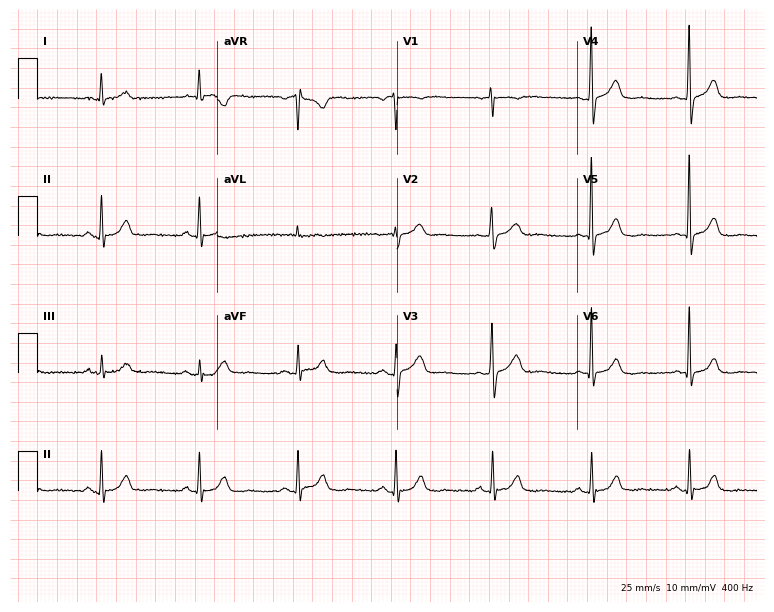
Electrocardiogram (7.3-second recording at 400 Hz), an 82-year-old male. Overall reading on record: normal ECG.